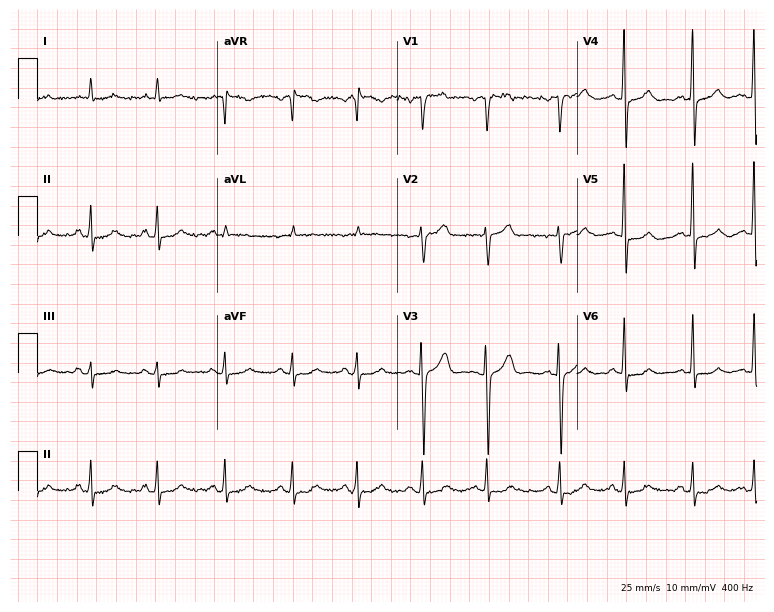
12-lead ECG from a 75-year-old male. No first-degree AV block, right bundle branch block, left bundle branch block, sinus bradycardia, atrial fibrillation or sinus tachycardia recorded for this tracing.